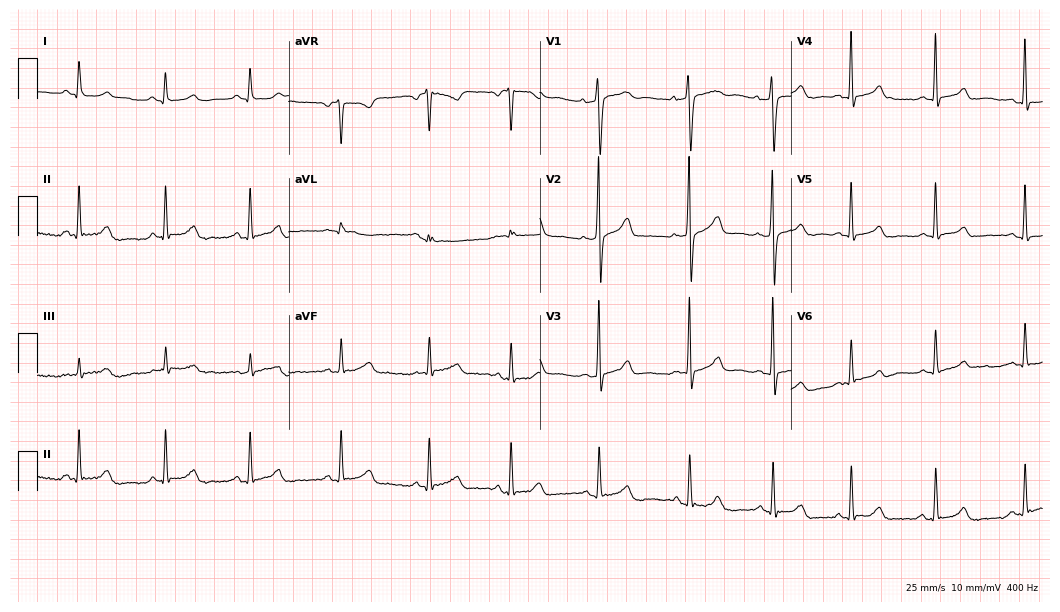
Resting 12-lead electrocardiogram. Patient: a woman, 29 years old. None of these six findings is recorded: first-degree AV block, right bundle branch block, left bundle branch block, sinus bradycardia, atrial fibrillation, sinus tachycardia. Only these six findings were labelled.